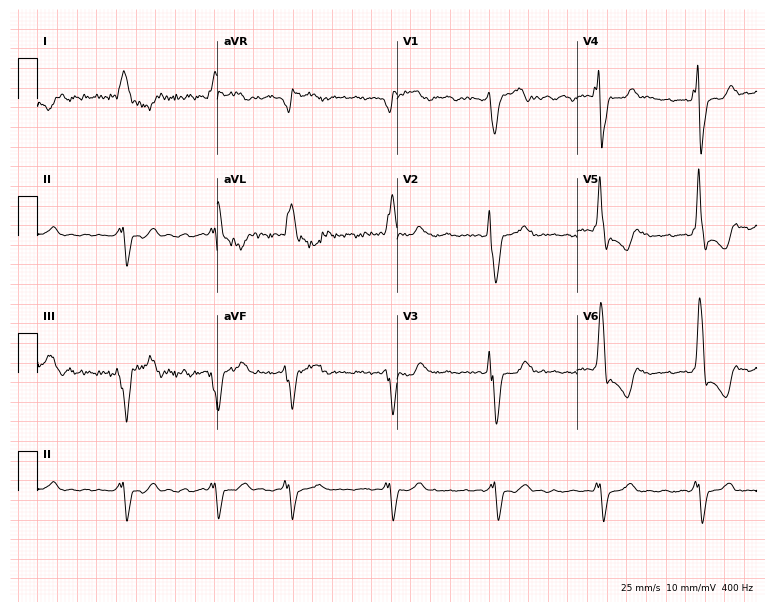
Resting 12-lead electrocardiogram (7.3-second recording at 400 Hz). Patient: a 51-year-old woman. The tracing shows left bundle branch block, atrial fibrillation.